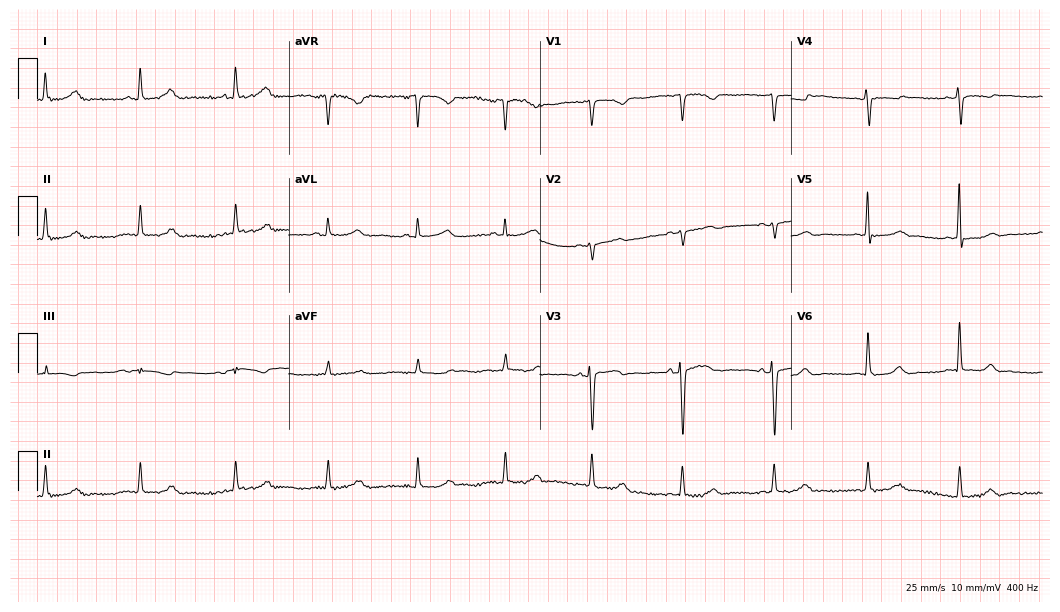
Standard 12-lead ECG recorded from a female, 71 years old. Read as a normal ECG.